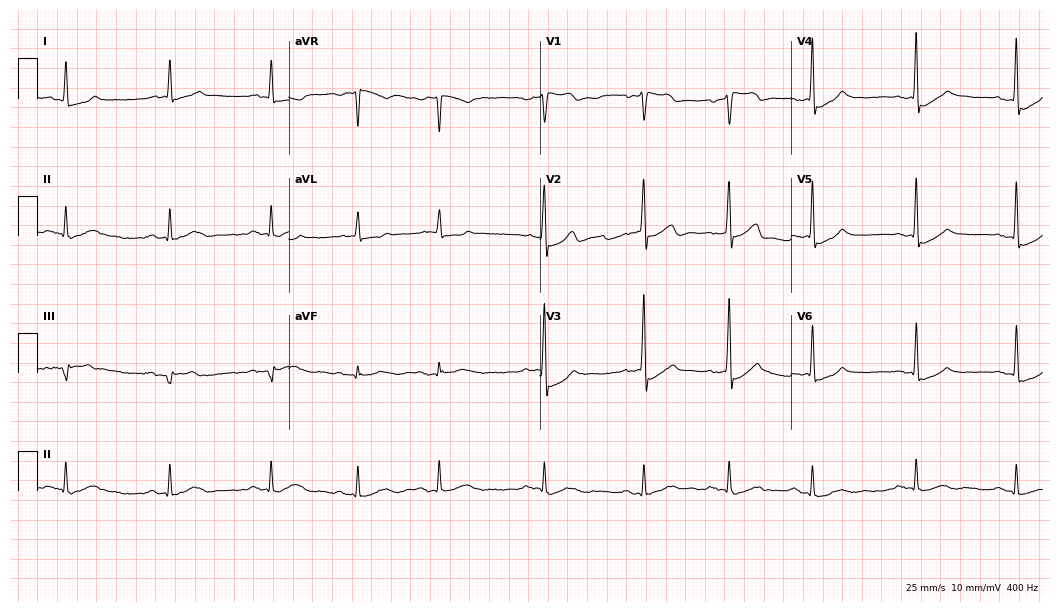
12-lead ECG from a 77-year-old male patient. Screened for six findings — first-degree AV block, right bundle branch block, left bundle branch block, sinus bradycardia, atrial fibrillation, sinus tachycardia — none is recorded.